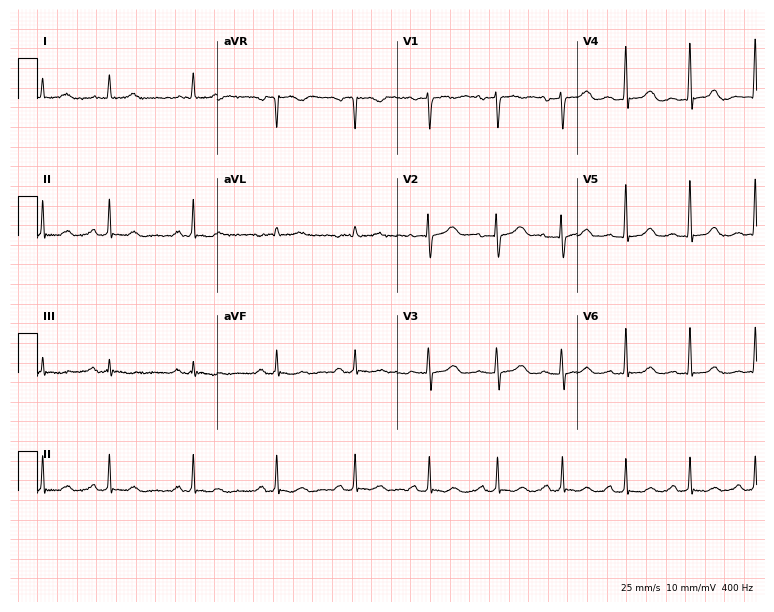
Electrocardiogram (7.3-second recording at 400 Hz), a 50-year-old female. Of the six screened findings (first-degree AV block, right bundle branch block, left bundle branch block, sinus bradycardia, atrial fibrillation, sinus tachycardia), none is recorded. Other findings, if any, are not listed.